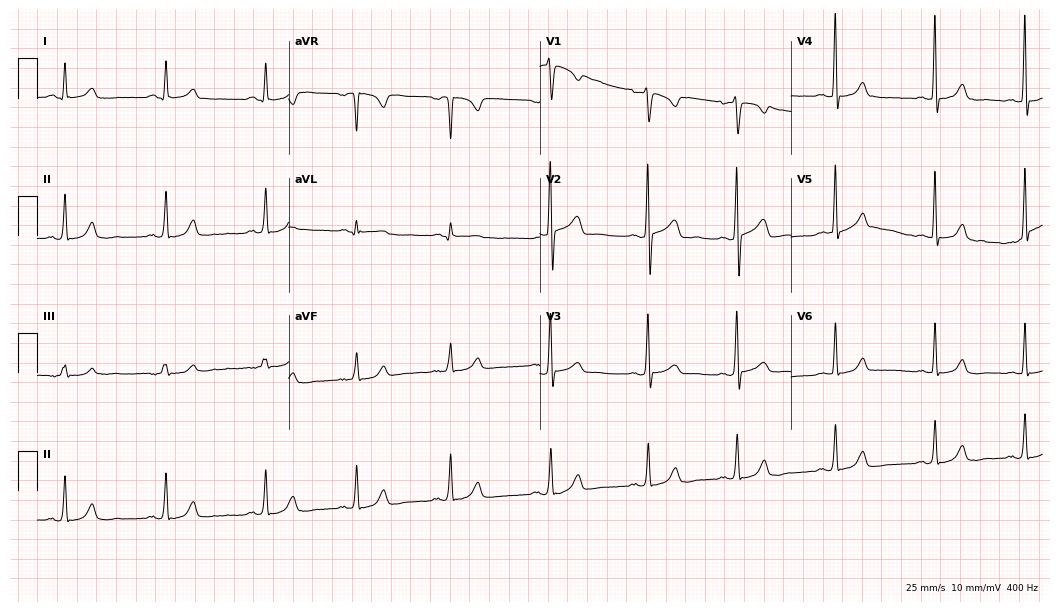
12-lead ECG (10.2-second recording at 400 Hz) from a 24-year-old female. Labelled as a normal ECG.